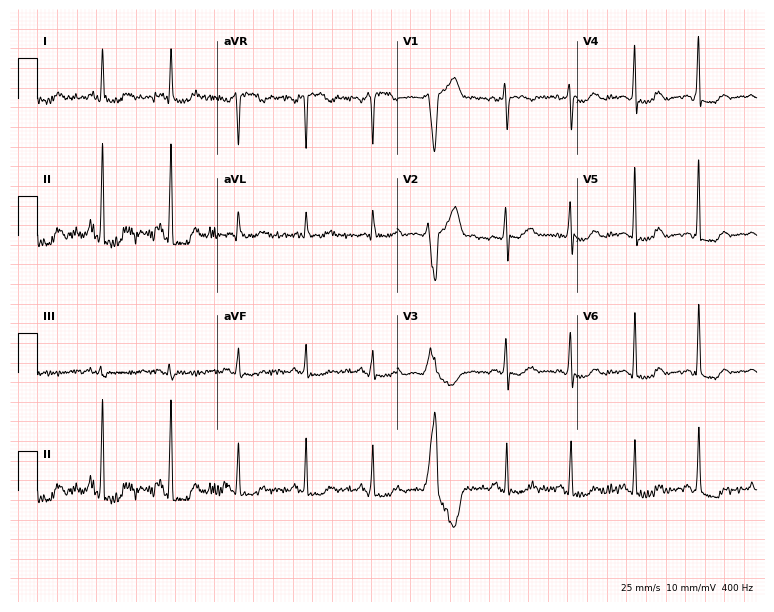
Electrocardiogram, a female patient, 69 years old. Of the six screened findings (first-degree AV block, right bundle branch block (RBBB), left bundle branch block (LBBB), sinus bradycardia, atrial fibrillation (AF), sinus tachycardia), none is recorded.